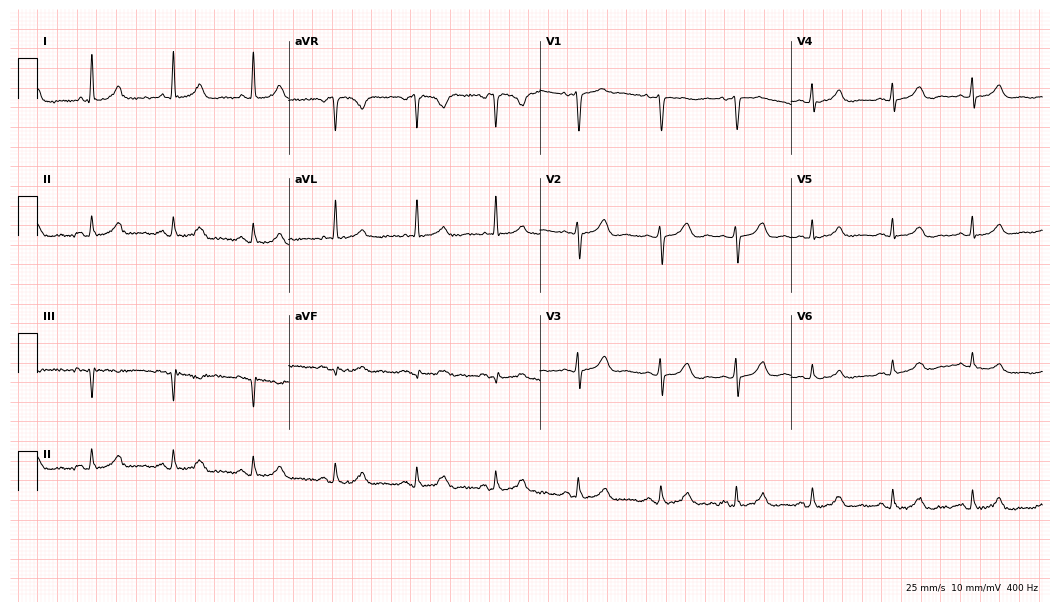
ECG — a female, 65 years old. Screened for six findings — first-degree AV block, right bundle branch block, left bundle branch block, sinus bradycardia, atrial fibrillation, sinus tachycardia — none is recorded.